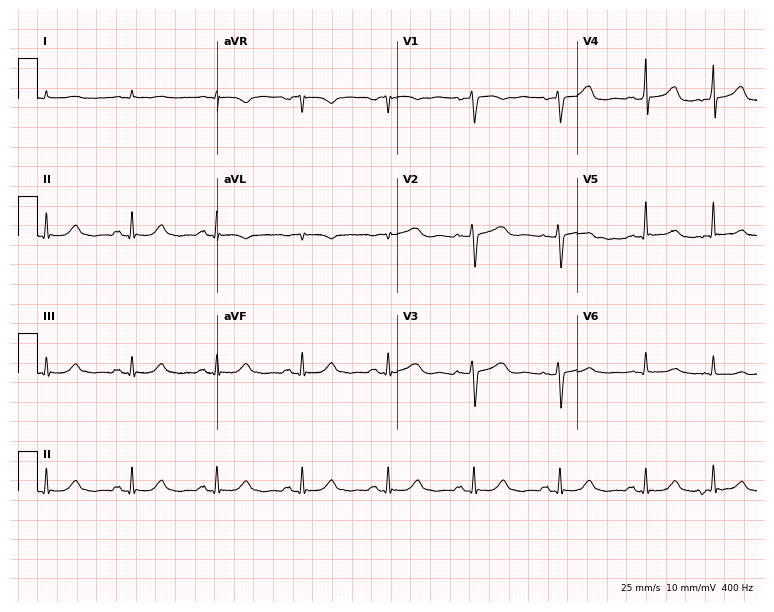
12-lead ECG (7.3-second recording at 400 Hz) from a man, 56 years old. Screened for six findings — first-degree AV block, right bundle branch block (RBBB), left bundle branch block (LBBB), sinus bradycardia, atrial fibrillation (AF), sinus tachycardia — none is recorded.